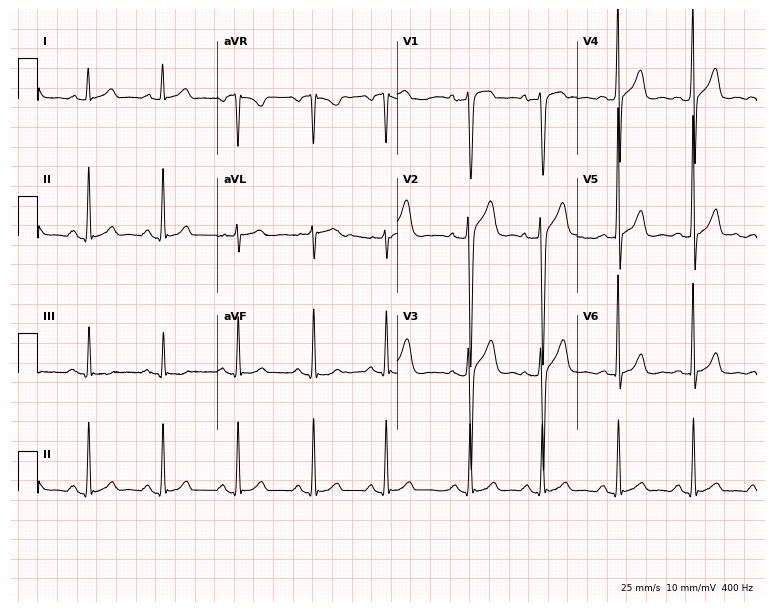
ECG (7.3-second recording at 400 Hz) — a male patient, 60 years old. Labelled as a normal ECG.